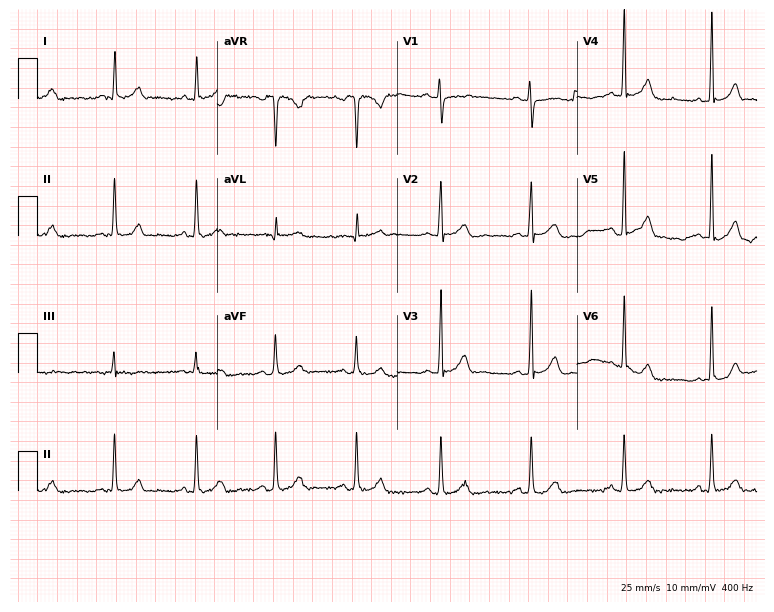
Electrocardiogram, a 30-year-old female patient. Overall reading on record: normal ECG.